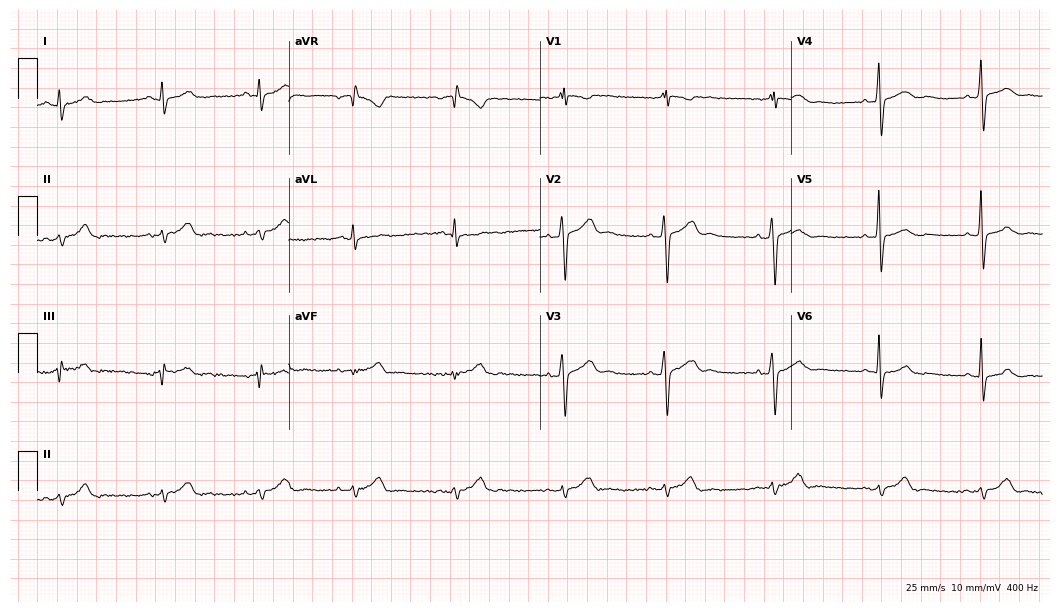
ECG (10.2-second recording at 400 Hz) — a 38-year-old male. Labelled as a normal ECG.